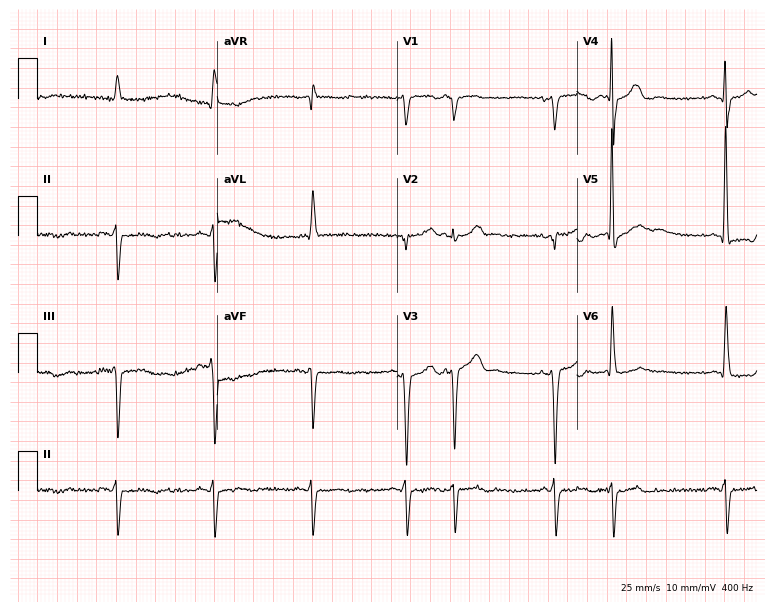
ECG — a woman, 84 years old. Screened for six findings — first-degree AV block, right bundle branch block, left bundle branch block, sinus bradycardia, atrial fibrillation, sinus tachycardia — none is recorded.